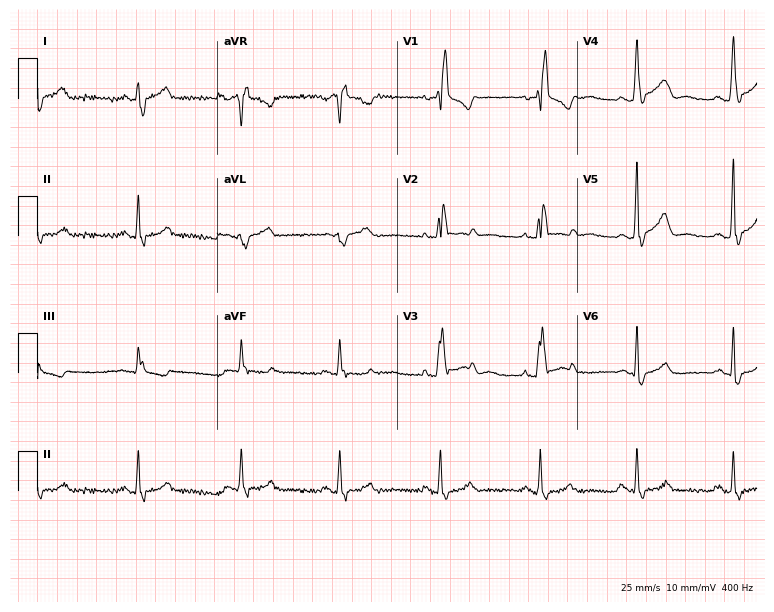
Resting 12-lead electrocardiogram (7.3-second recording at 400 Hz). Patient: a 56-year-old man. The tracing shows right bundle branch block.